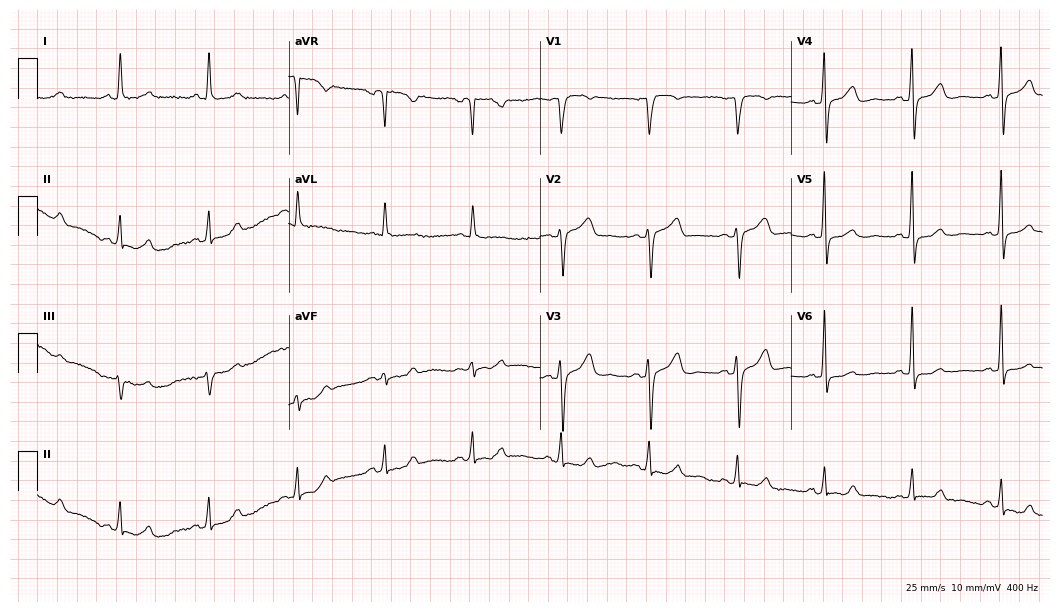
12-lead ECG (10.2-second recording at 400 Hz) from a 65-year-old woman. Labelled as a normal ECG.